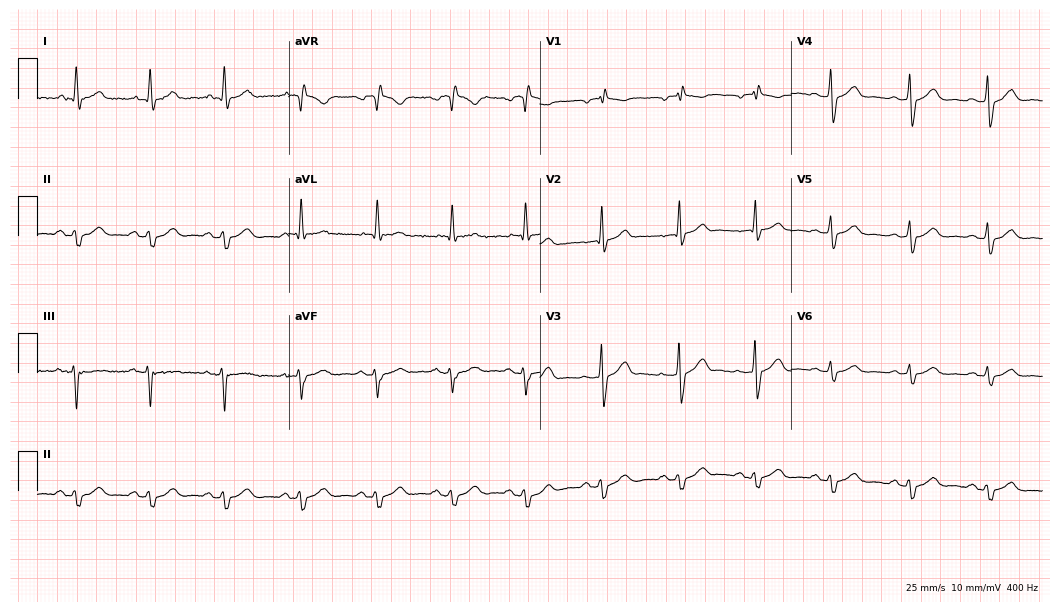
ECG — a 62-year-old male patient. Screened for six findings — first-degree AV block, right bundle branch block, left bundle branch block, sinus bradycardia, atrial fibrillation, sinus tachycardia — none is recorded. Only these six findings were labelled.